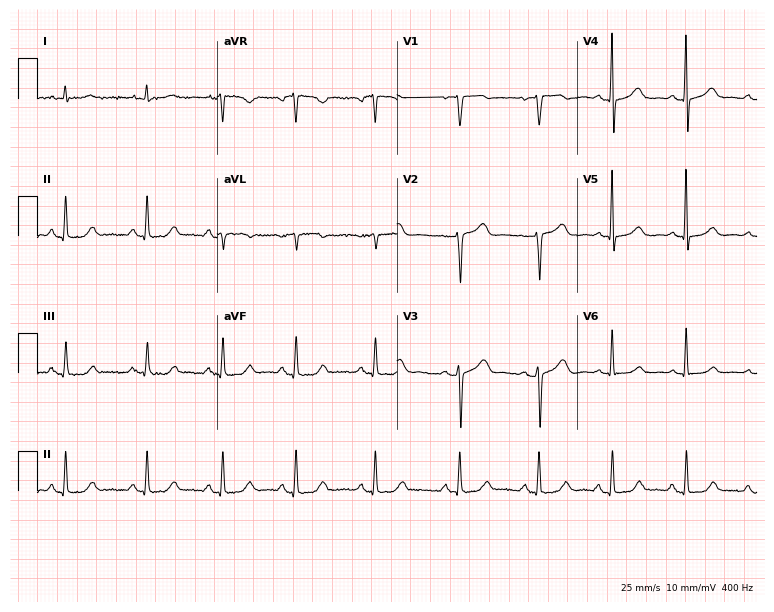
ECG (7.3-second recording at 400 Hz) — a female, 64 years old. Screened for six findings — first-degree AV block, right bundle branch block (RBBB), left bundle branch block (LBBB), sinus bradycardia, atrial fibrillation (AF), sinus tachycardia — none is recorded.